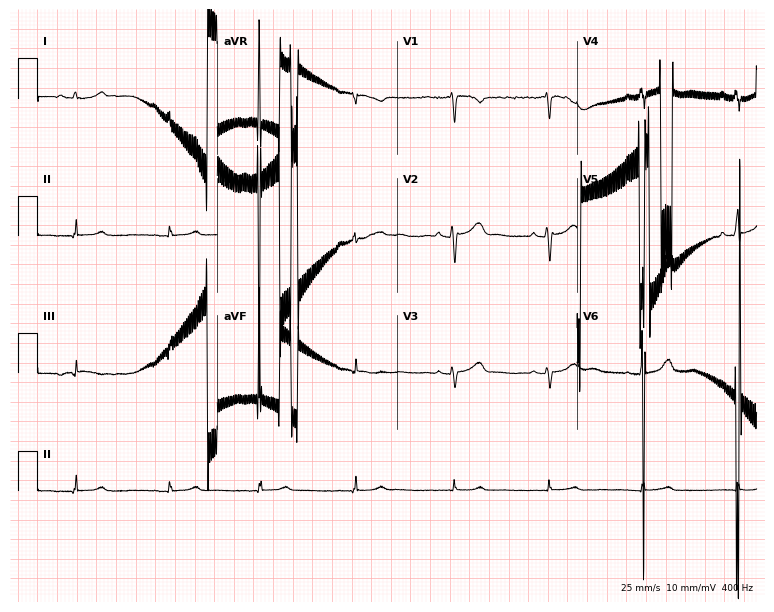
ECG (7.3-second recording at 400 Hz) — a female, 43 years old. Screened for six findings — first-degree AV block, right bundle branch block (RBBB), left bundle branch block (LBBB), sinus bradycardia, atrial fibrillation (AF), sinus tachycardia — none is recorded.